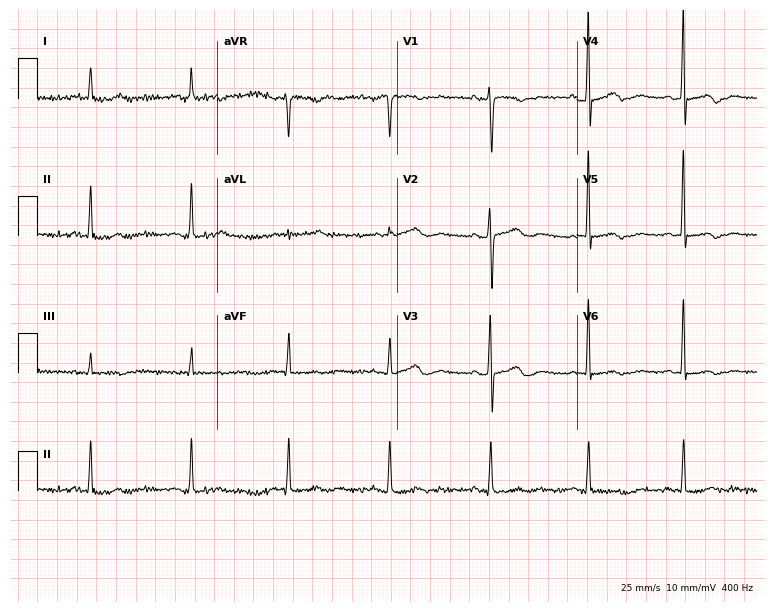
12-lead ECG (7.3-second recording at 400 Hz) from a female patient, 70 years old. Screened for six findings — first-degree AV block, right bundle branch block, left bundle branch block, sinus bradycardia, atrial fibrillation, sinus tachycardia — none is recorded.